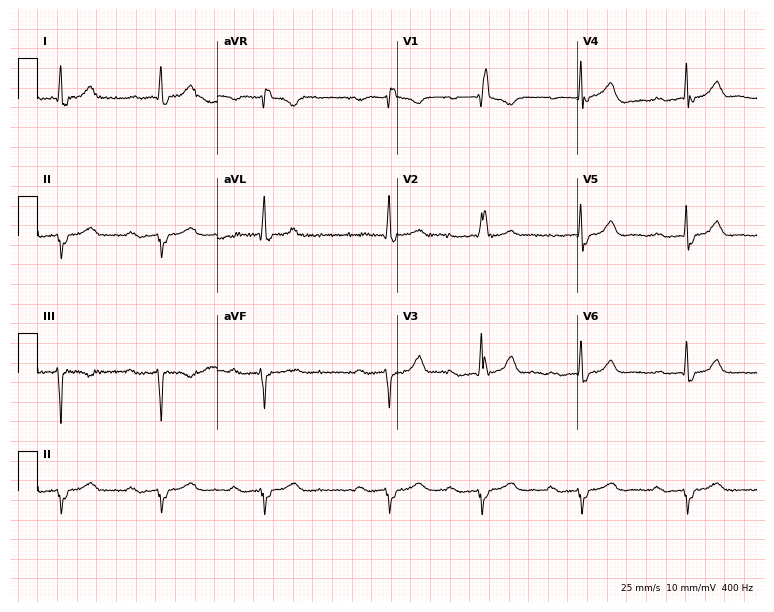
12-lead ECG from an 83-year-old male. Shows first-degree AV block, right bundle branch block.